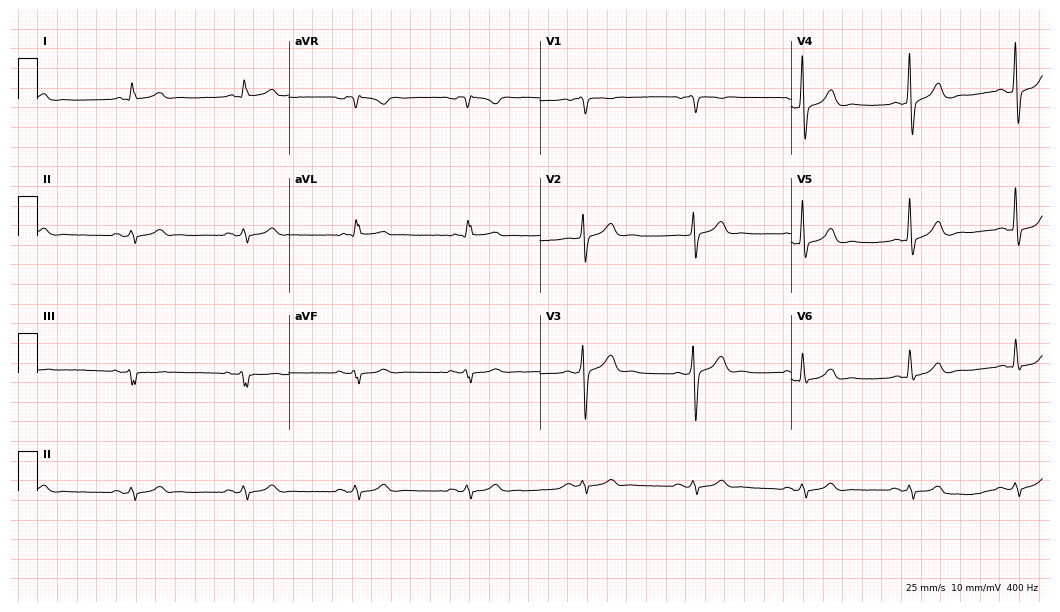
Resting 12-lead electrocardiogram. Patient: a 66-year-old man. None of these six findings is recorded: first-degree AV block, right bundle branch block, left bundle branch block, sinus bradycardia, atrial fibrillation, sinus tachycardia. Findings outside these six are not listed.